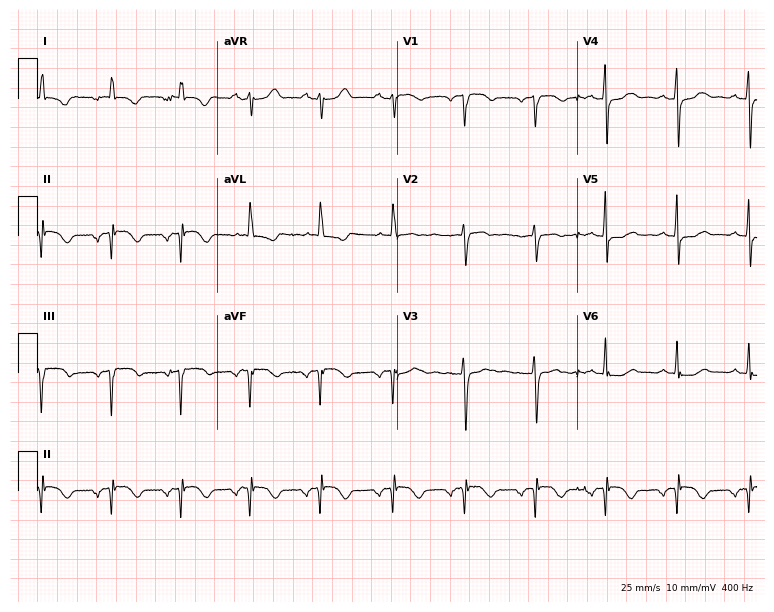
Electrocardiogram, a 60-year-old woman. Of the six screened findings (first-degree AV block, right bundle branch block, left bundle branch block, sinus bradycardia, atrial fibrillation, sinus tachycardia), none is recorded. Only these six findings were labelled.